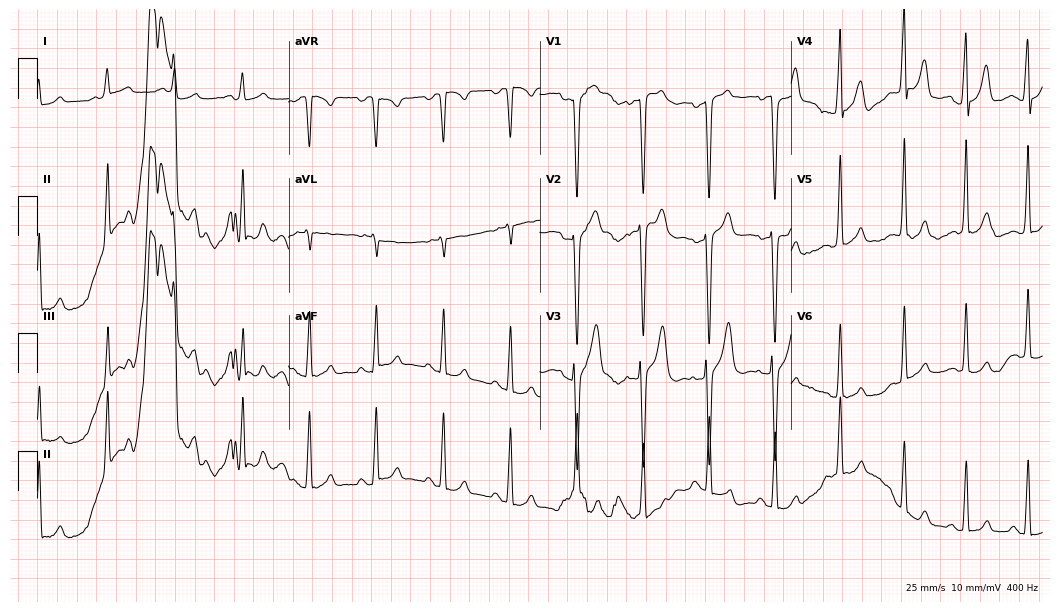
12-lead ECG from a 36-year-old male patient. Screened for six findings — first-degree AV block, right bundle branch block (RBBB), left bundle branch block (LBBB), sinus bradycardia, atrial fibrillation (AF), sinus tachycardia — none is recorded. Other findings, if any, are not listed.